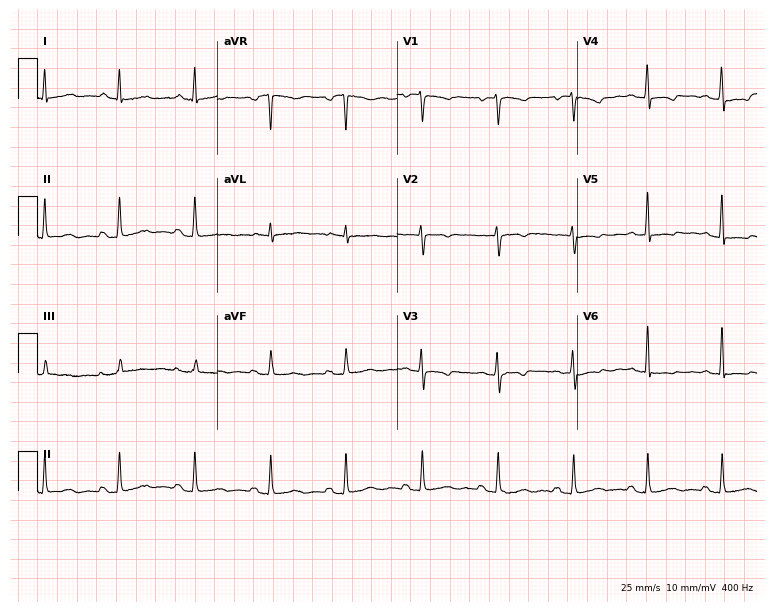
12-lead ECG from a female patient, 49 years old. Screened for six findings — first-degree AV block, right bundle branch block (RBBB), left bundle branch block (LBBB), sinus bradycardia, atrial fibrillation (AF), sinus tachycardia — none is recorded.